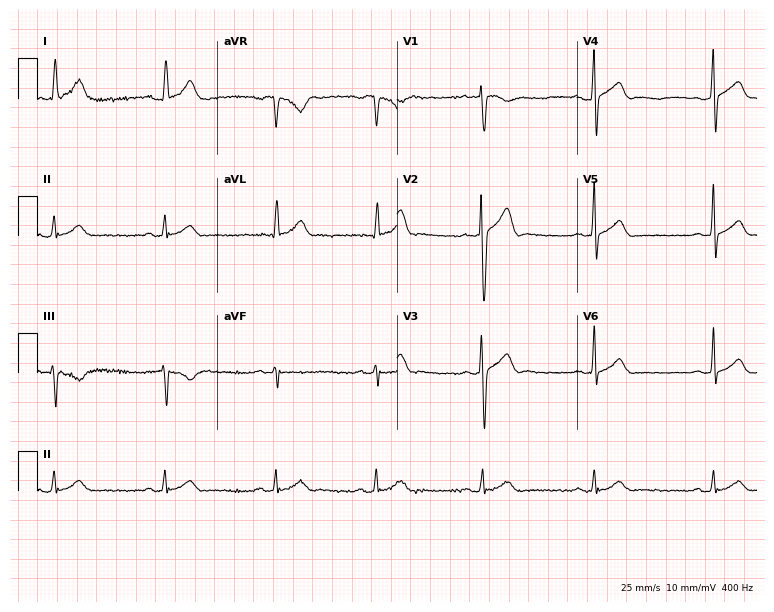
ECG — a male, 46 years old. Labelled as a normal ECG.